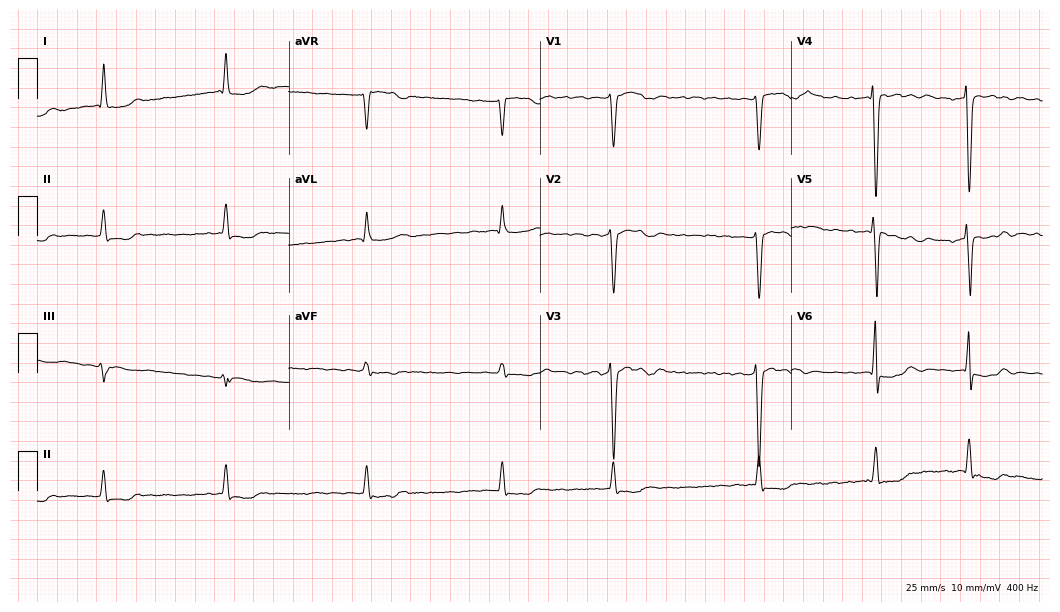
Resting 12-lead electrocardiogram (10.2-second recording at 400 Hz). Patient: a male, 76 years old. The tracing shows atrial fibrillation.